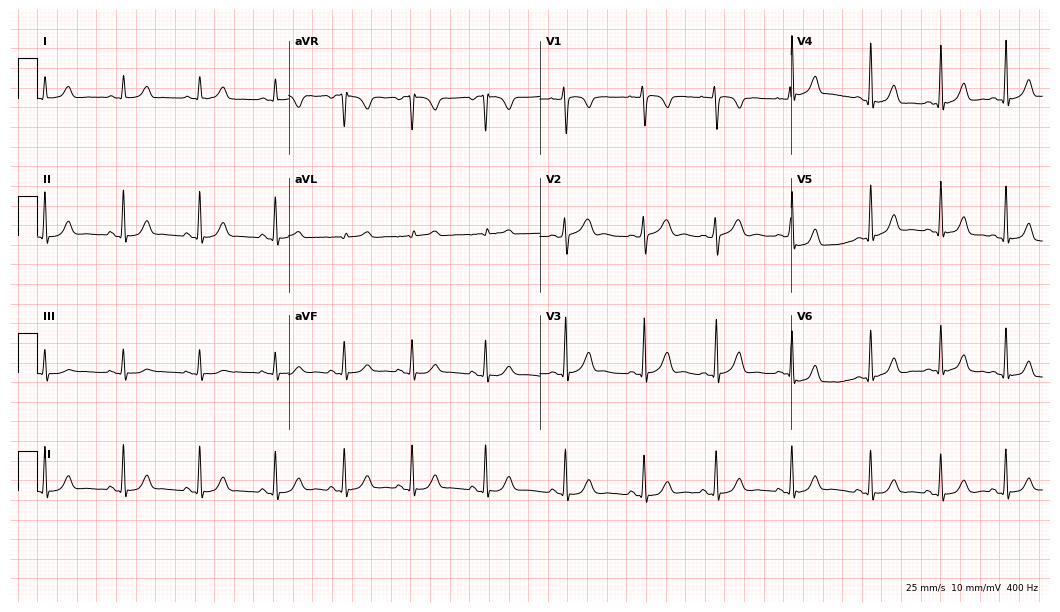
12-lead ECG from a female, 19 years old. No first-degree AV block, right bundle branch block, left bundle branch block, sinus bradycardia, atrial fibrillation or sinus tachycardia recorded for this tracing.